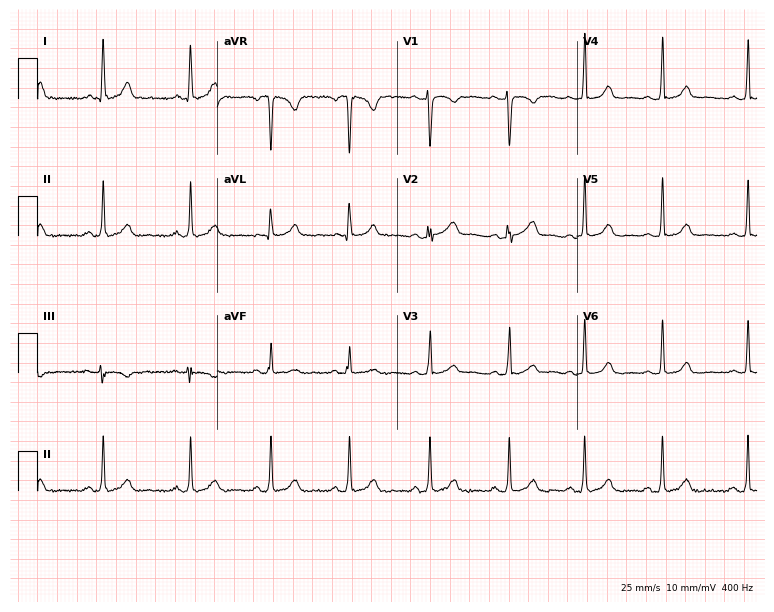
Standard 12-lead ECG recorded from a 25-year-old female (7.3-second recording at 400 Hz). Read as a normal ECG.